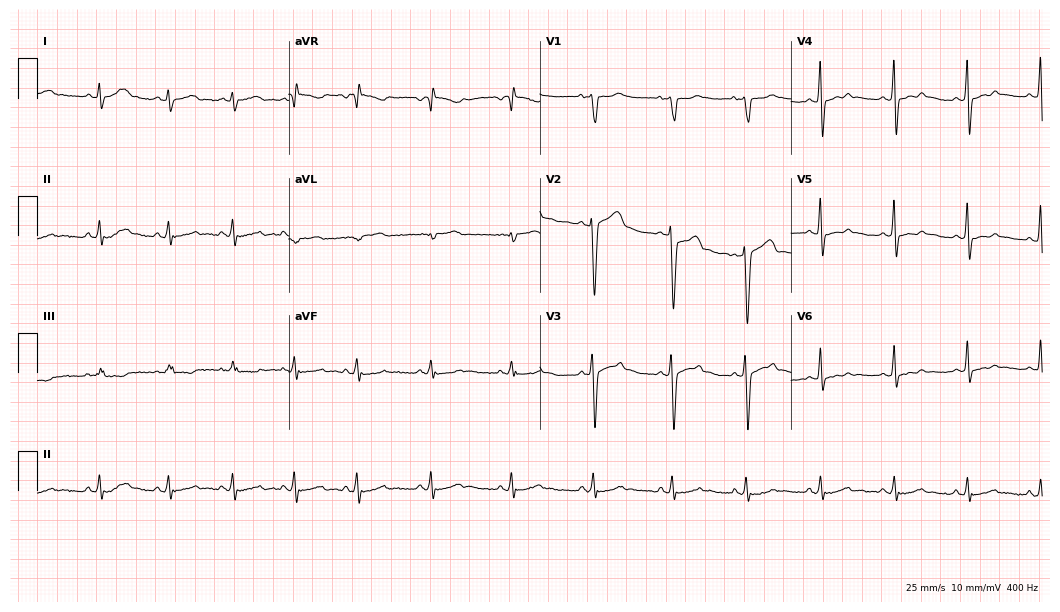
Standard 12-lead ECG recorded from a male patient, 28 years old (10.2-second recording at 400 Hz). Read as a normal ECG.